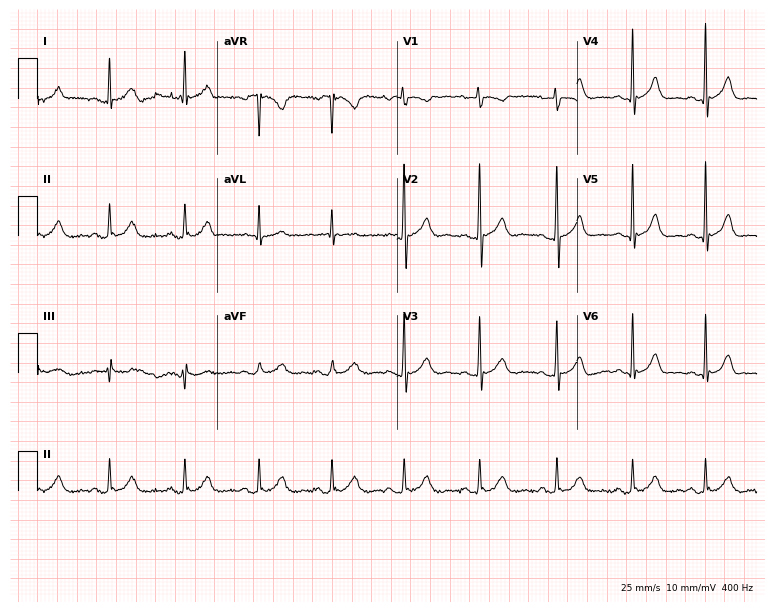
Electrocardiogram (7.3-second recording at 400 Hz), a 46-year-old woman. Overall reading on record: normal ECG.